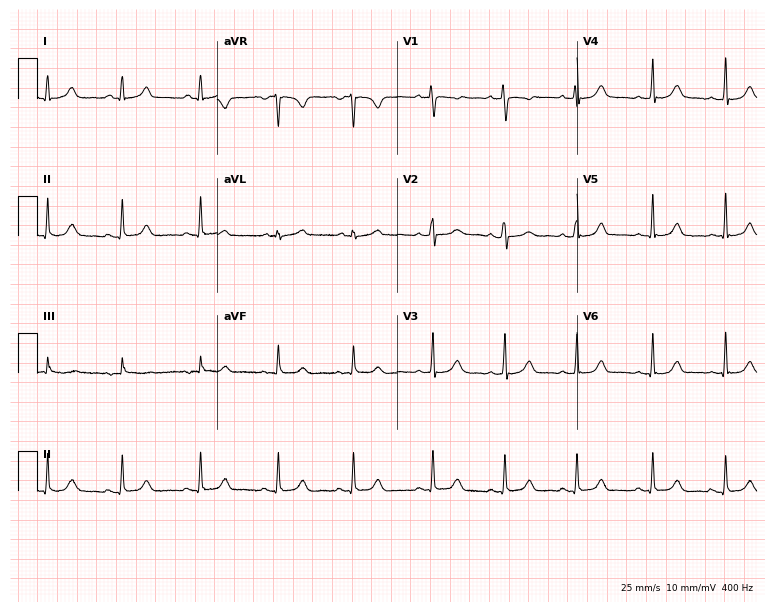
Resting 12-lead electrocardiogram. Patient: a 24-year-old female. Read as a normal ECG.